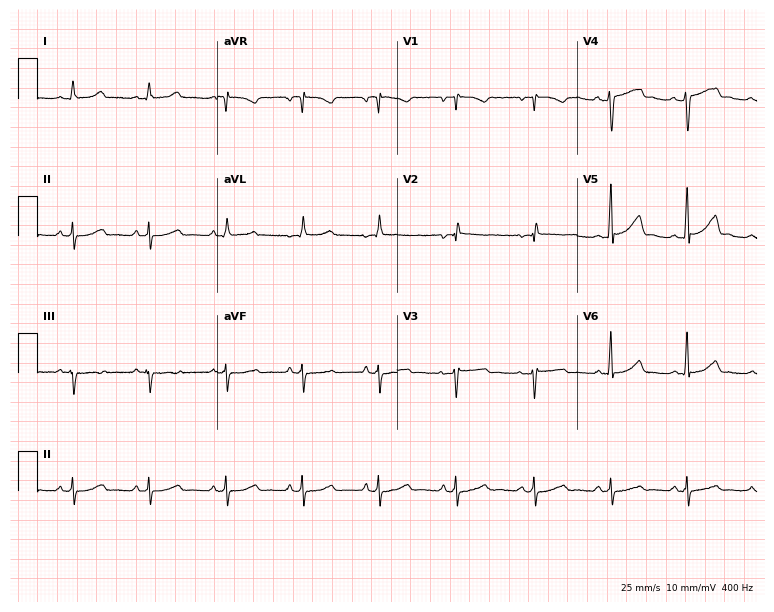
ECG — a 39-year-old female patient. Screened for six findings — first-degree AV block, right bundle branch block, left bundle branch block, sinus bradycardia, atrial fibrillation, sinus tachycardia — none is recorded. Findings outside these six are not listed.